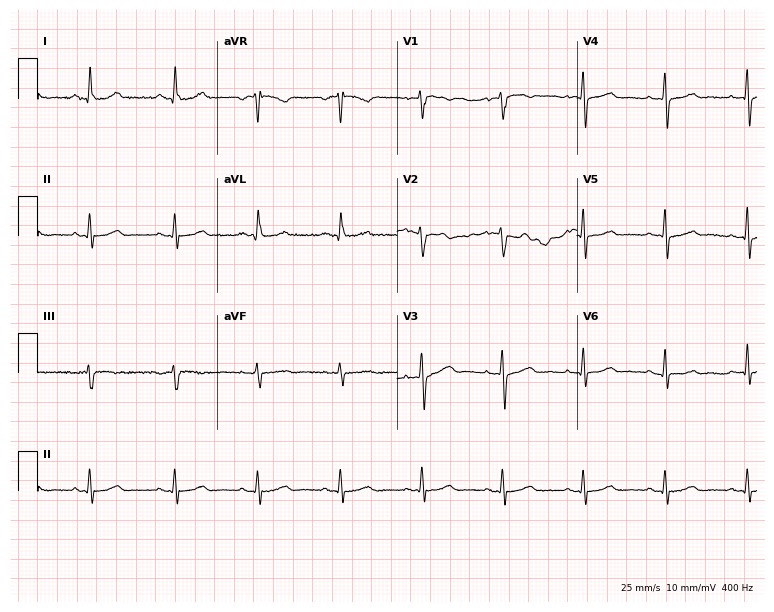
12-lead ECG (7.3-second recording at 400 Hz) from a female, 64 years old. Labelled as a normal ECG.